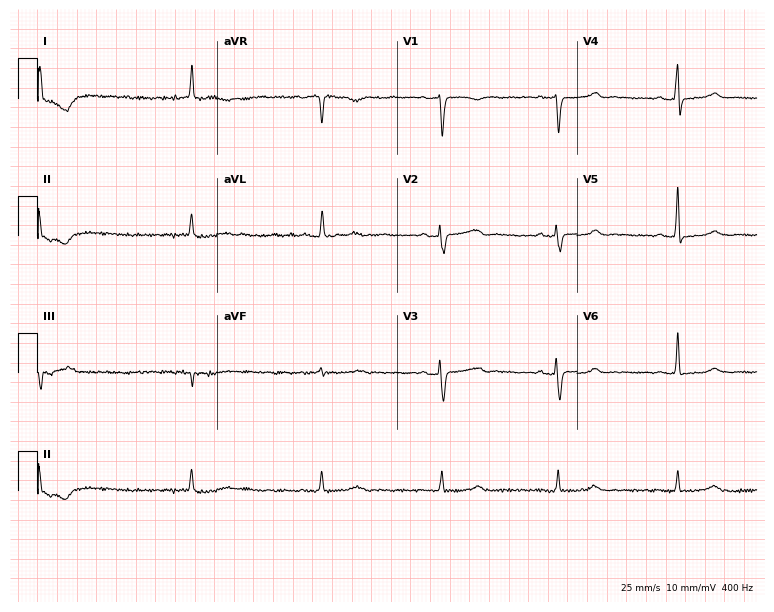
12-lead ECG from a female, 70 years old. No first-degree AV block, right bundle branch block (RBBB), left bundle branch block (LBBB), sinus bradycardia, atrial fibrillation (AF) or sinus tachycardia recorded for this tracing. Only these six findings were labelled.